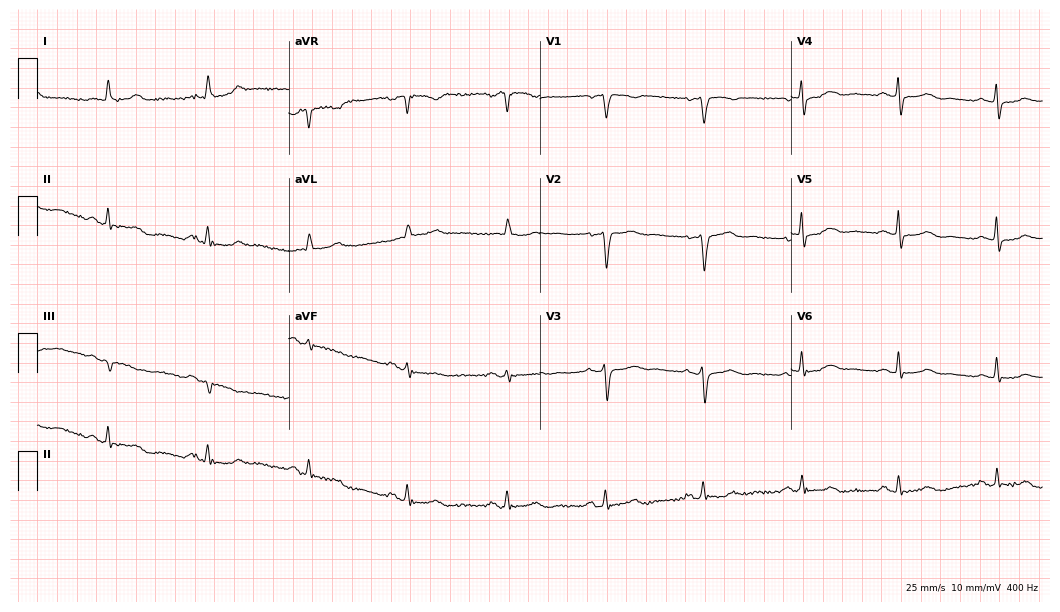
ECG — a female patient, 84 years old. Screened for six findings — first-degree AV block, right bundle branch block, left bundle branch block, sinus bradycardia, atrial fibrillation, sinus tachycardia — none is recorded. Other findings, if any, are not listed.